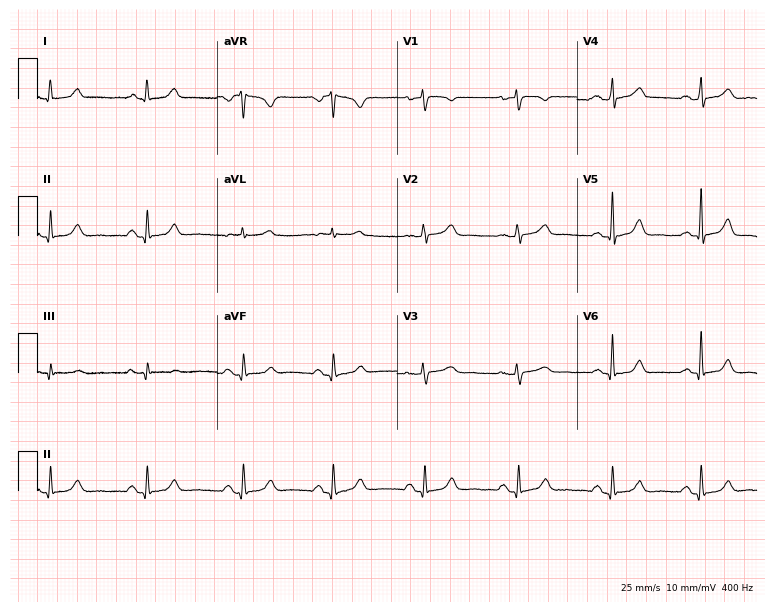
12-lead ECG from a female patient, 40 years old. Recorded interpretation: within normal limits.